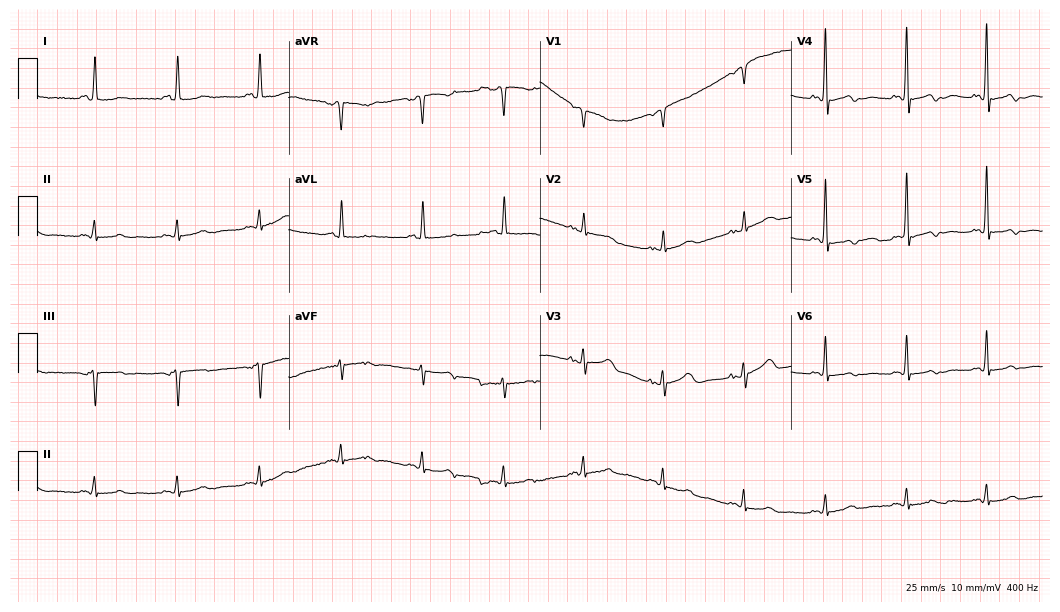
ECG — an 82-year-old female patient. Labelled as a normal ECG.